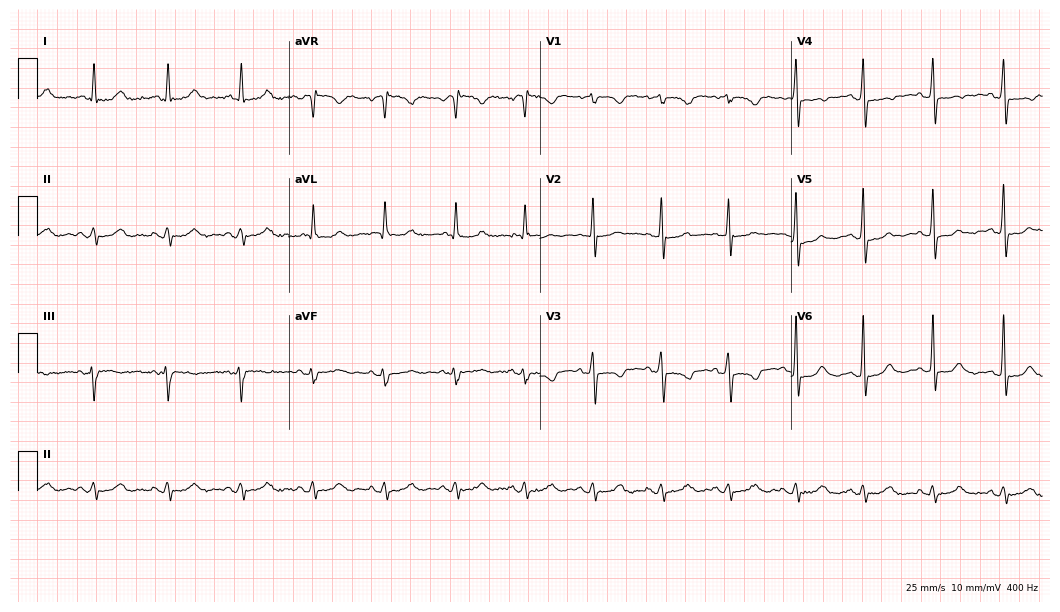
Electrocardiogram (10.2-second recording at 400 Hz), a female, 63 years old. Of the six screened findings (first-degree AV block, right bundle branch block, left bundle branch block, sinus bradycardia, atrial fibrillation, sinus tachycardia), none is recorded.